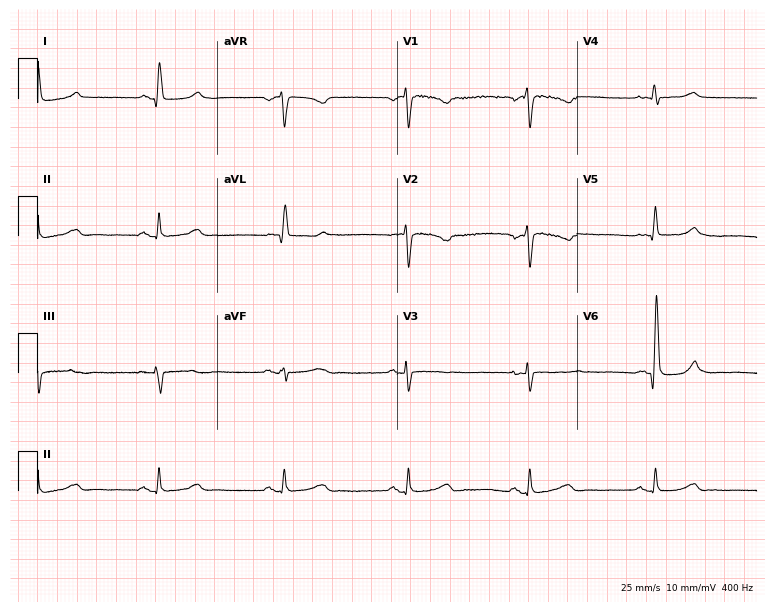
Electrocardiogram, a 41-year-old male. Of the six screened findings (first-degree AV block, right bundle branch block (RBBB), left bundle branch block (LBBB), sinus bradycardia, atrial fibrillation (AF), sinus tachycardia), none is recorded.